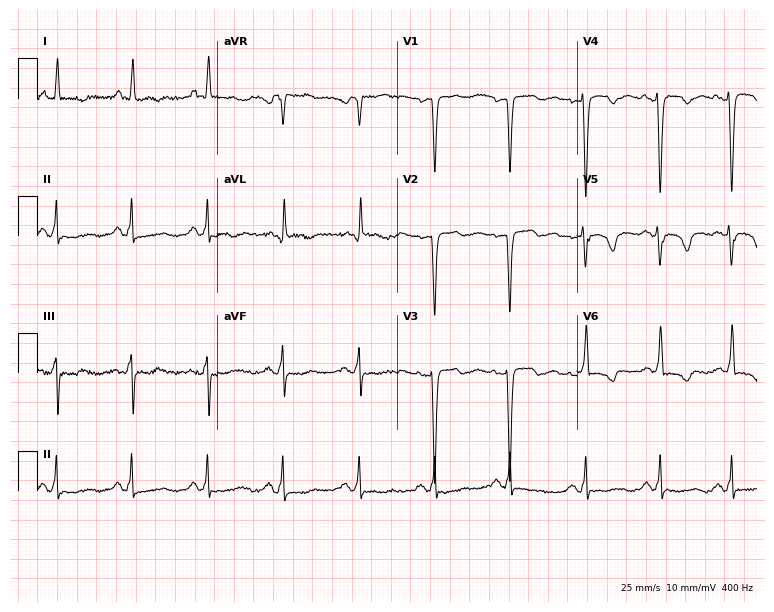
Electrocardiogram, a man, 50 years old. Of the six screened findings (first-degree AV block, right bundle branch block (RBBB), left bundle branch block (LBBB), sinus bradycardia, atrial fibrillation (AF), sinus tachycardia), none is recorded. Only these six findings were labelled.